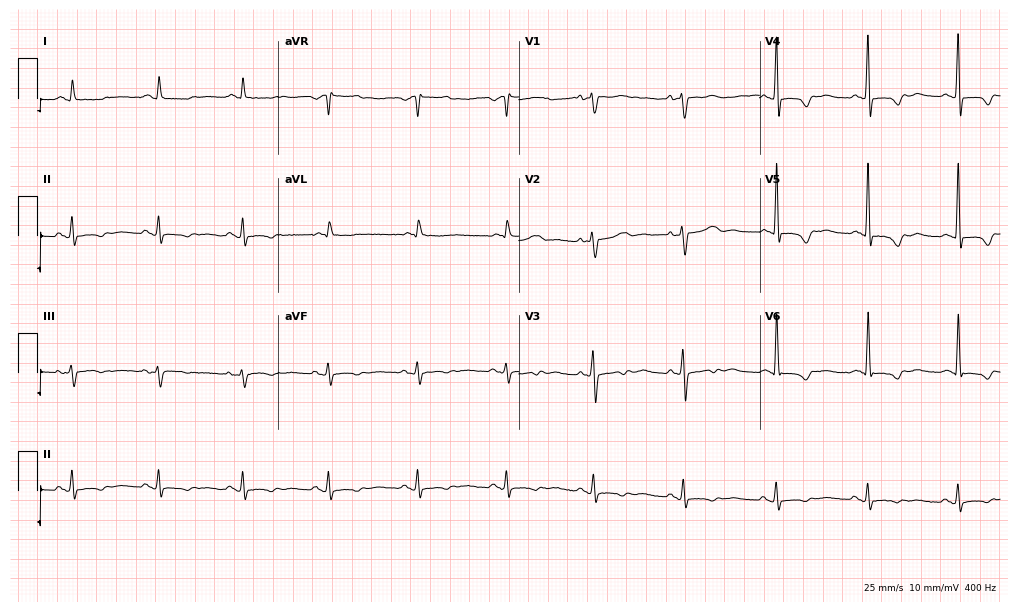
Standard 12-lead ECG recorded from a woman, 62 years old (9.8-second recording at 400 Hz). None of these six findings is recorded: first-degree AV block, right bundle branch block (RBBB), left bundle branch block (LBBB), sinus bradycardia, atrial fibrillation (AF), sinus tachycardia. Findings outside these six are not listed.